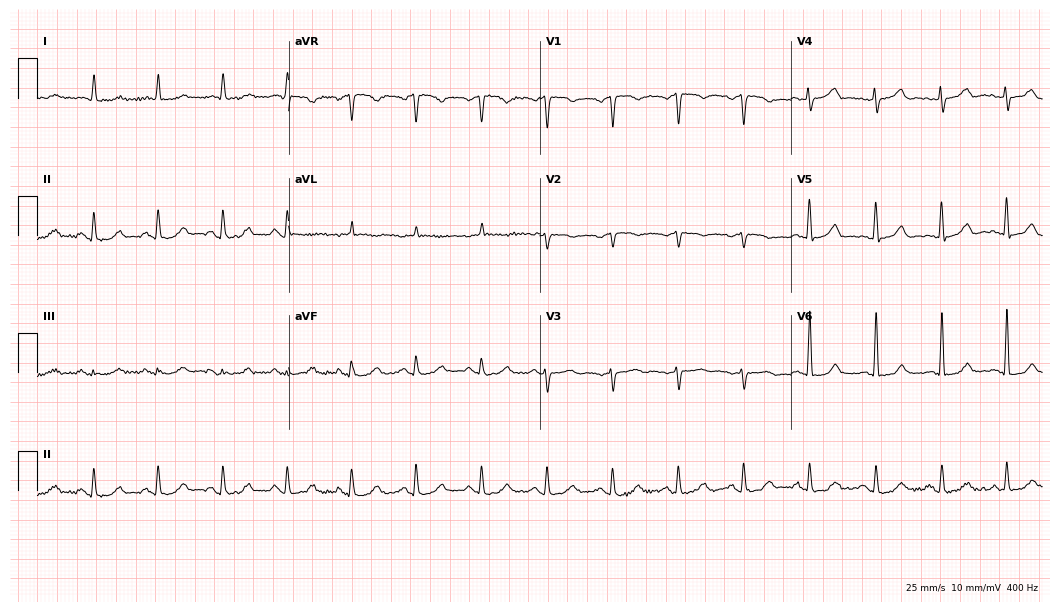
12-lead ECG (10.2-second recording at 400 Hz) from an 82-year-old female. Screened for six findings — first-degree AV block, right bundle branch block, left bundle branch block, sinus bradycardia, atrial fibrillation, sinus tachycardia — none is recorded. Findings outside these six are not listed.